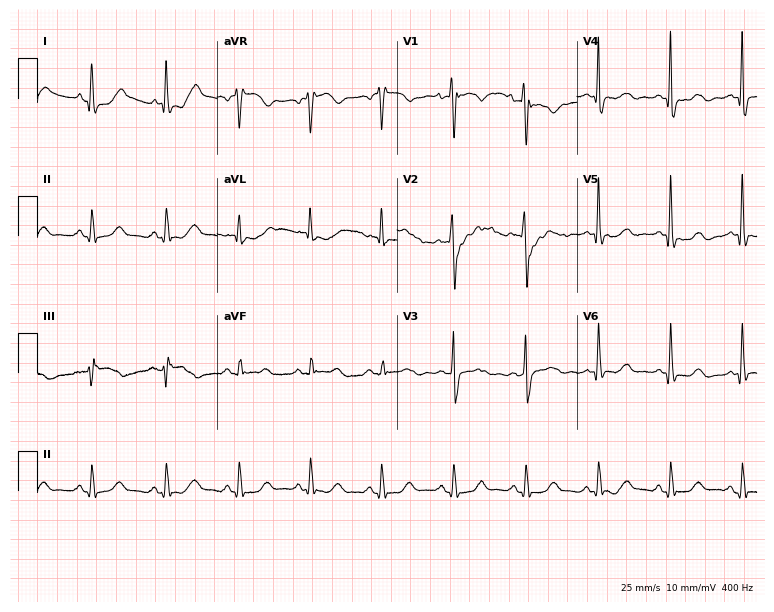
12-lead ECG from a 61-year-old female patient. No first-degree AV block, right bundle branch block, left bundle branch block, sinus bradycardia, atrial fibrillation or sinus tachycardia recorded for this tracing. Other findings, if any, are not listed.